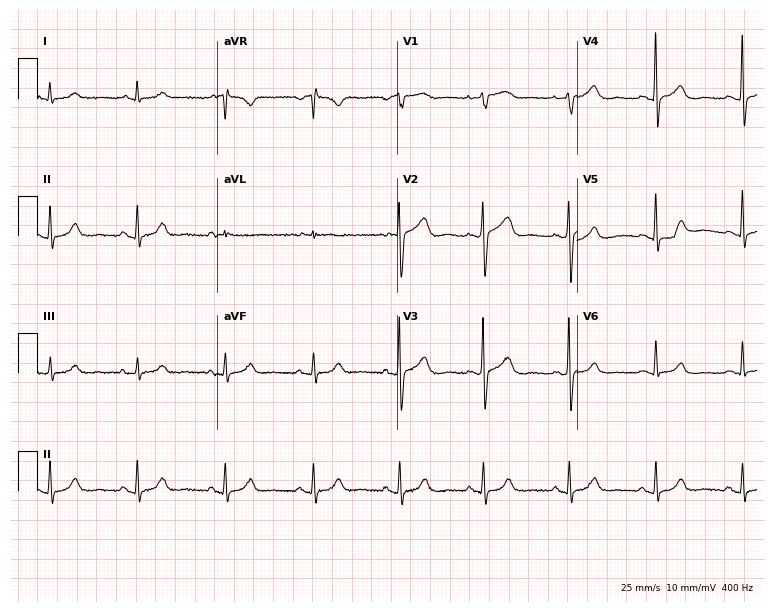
ECG (7.3-second recording at 400 Hz) — a female, 83 years old. Screened for six findings — first-degree AV block, right bundle branch block, left bundle branch block, sinus bradycardia, atrial fibrillation, sinus tachycardia — none is recorded.